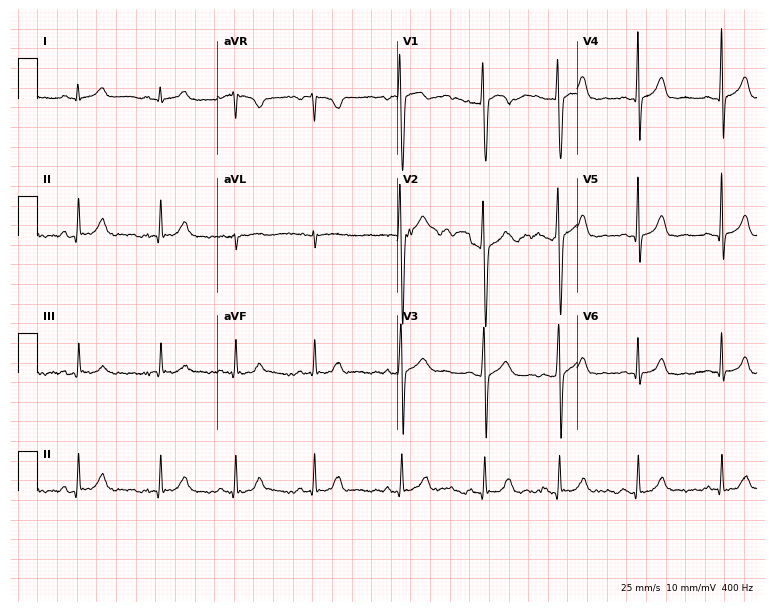
12-lead ECG (7.3-second recording at 400 Hz) from a female, 17 years old. Labelled as a normal ECG.